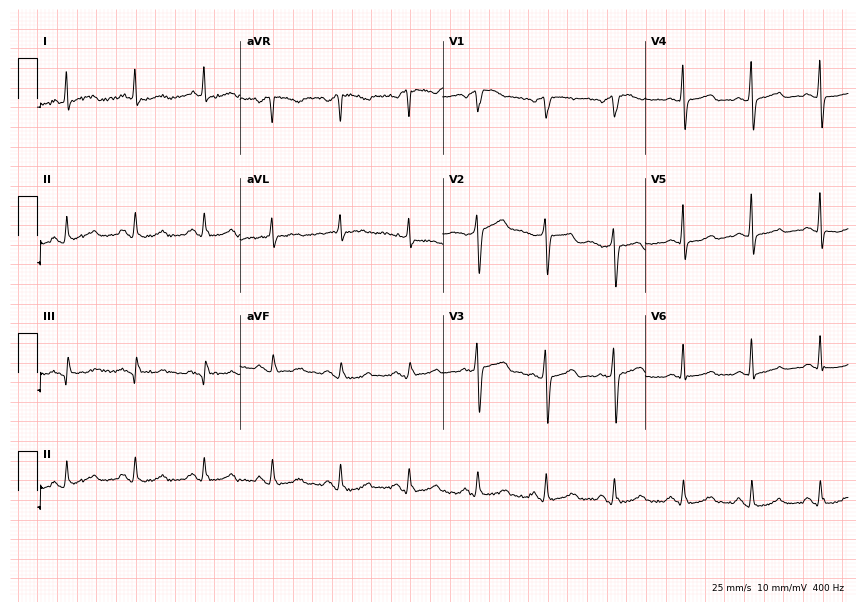
12-lead ECG from a woman, 71 years old. Recorded interpretation: within normal limits.